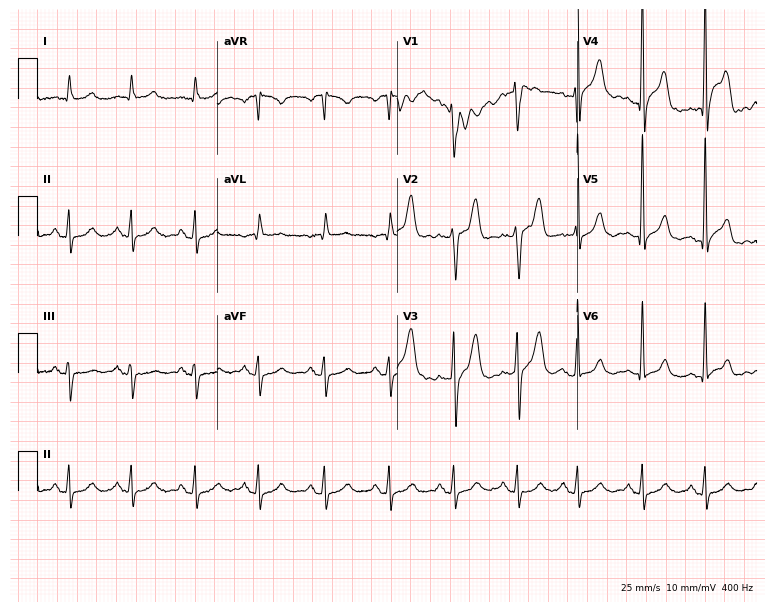
Standard 12-lead ECG recorded from a male patient, 70 years old (7.3-second recording at 400 Hz). None of these six findings is recorded: first-degree AV block, right bundle branch block, left bundle branch block, sinus bradycardia, atrial fibrillation, sinus tachycardia. Only these six findings were labelled.